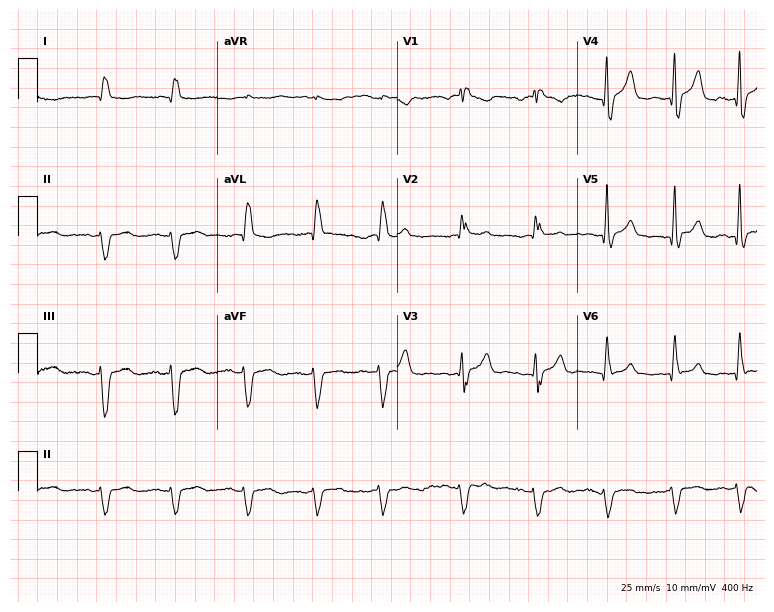
Resting 12-lead electrocardiogram (7.3-second recording at 400 Hz). Patient: a 63-year-old male. None of these six findings is recorded: first-degree AV block, right bundle branch block, left bundle branch block, sinus bradycardia, atrial fibrillation, sinus tachycardia. Other findings, if any, are not listed.